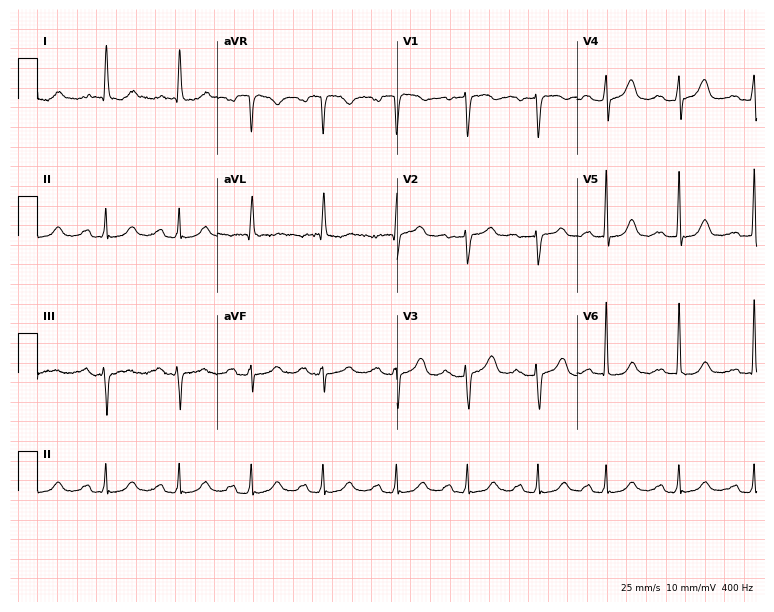
Resting 12-lead electrocardiogram. Patient: a 59-year-old woman. The tracing shows first-degree AV block.